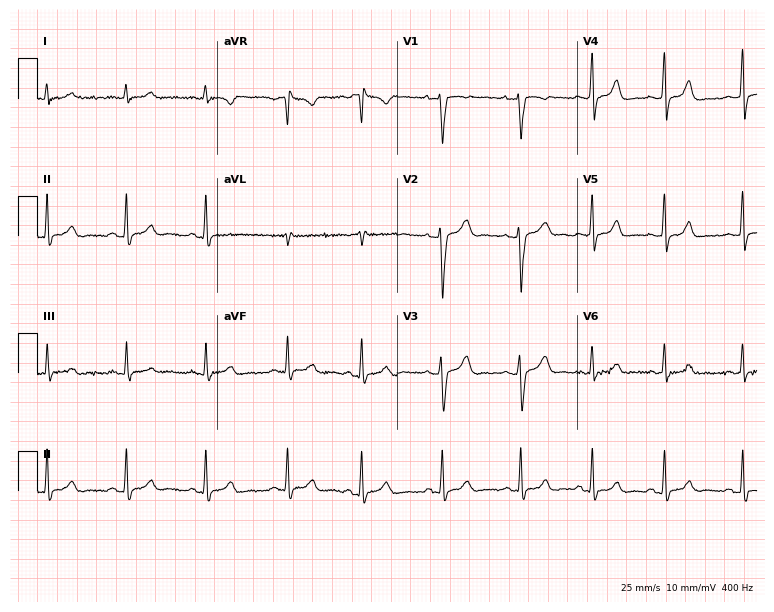
Resting 12-lead electrocardiogram. Patient: a female, 22 years old. Read as a normal ECG.